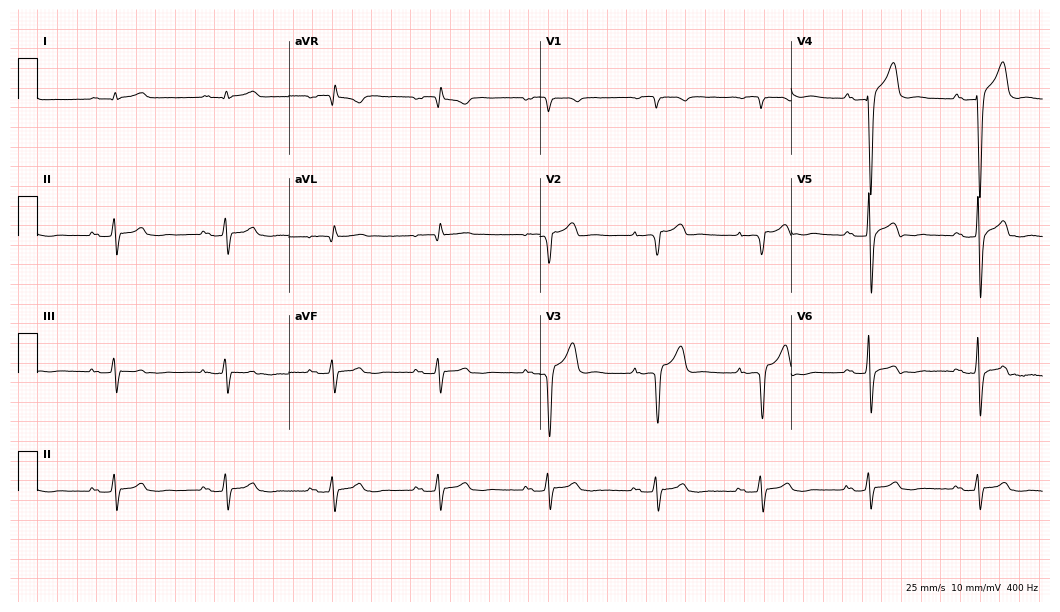
12-lead ECG from a 60-year-old man. Shows first-degree AV block.